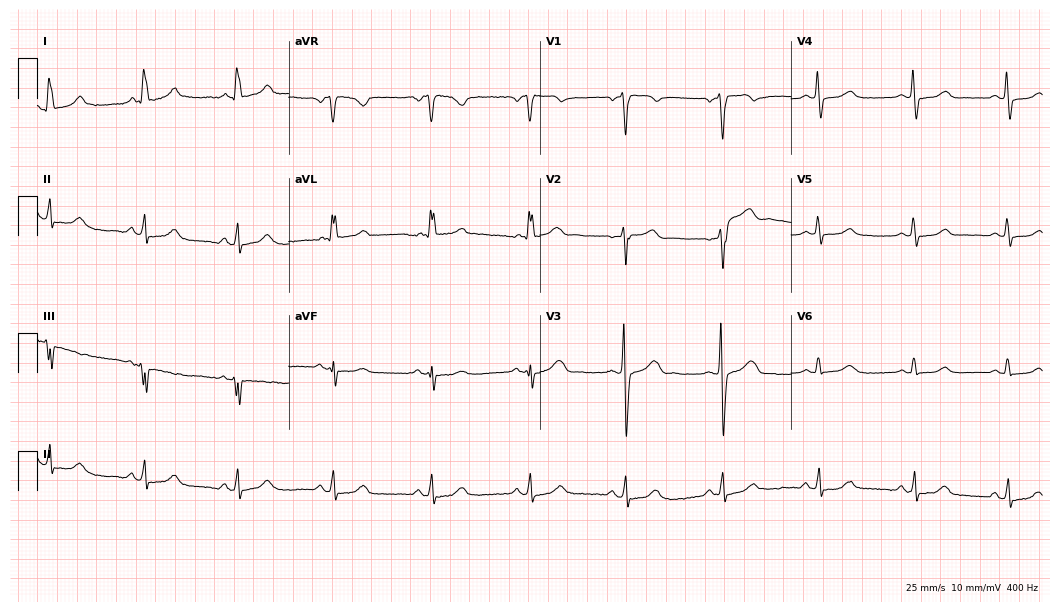
ECG (10.2-second recording at 400 Hz) — a woman, 60 years old. Labelled as a normal ECG.